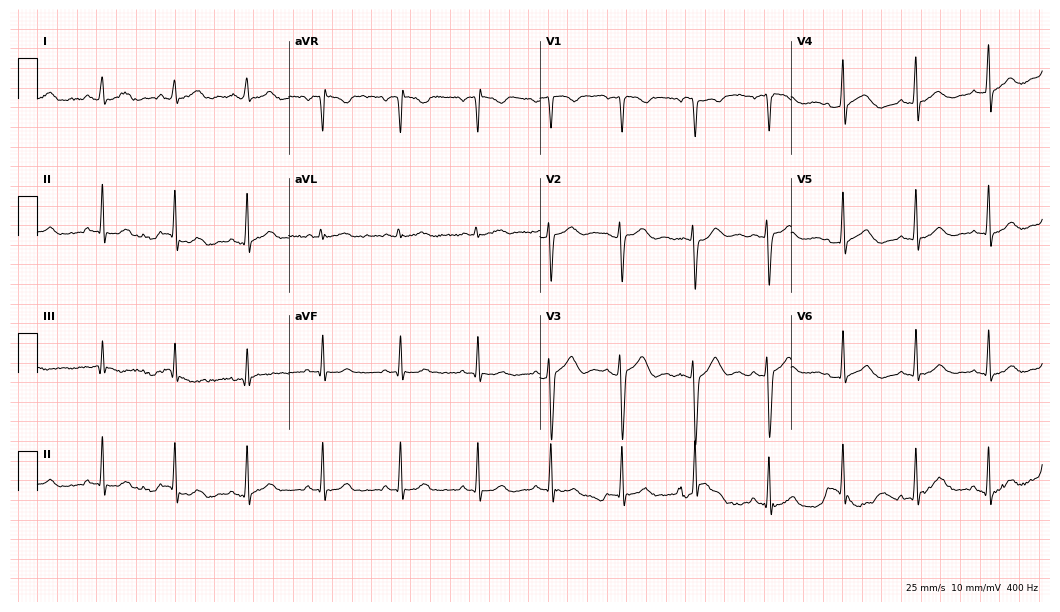
12-lead ECG from a 31-year-old woman. Labelled as a normal ECG.